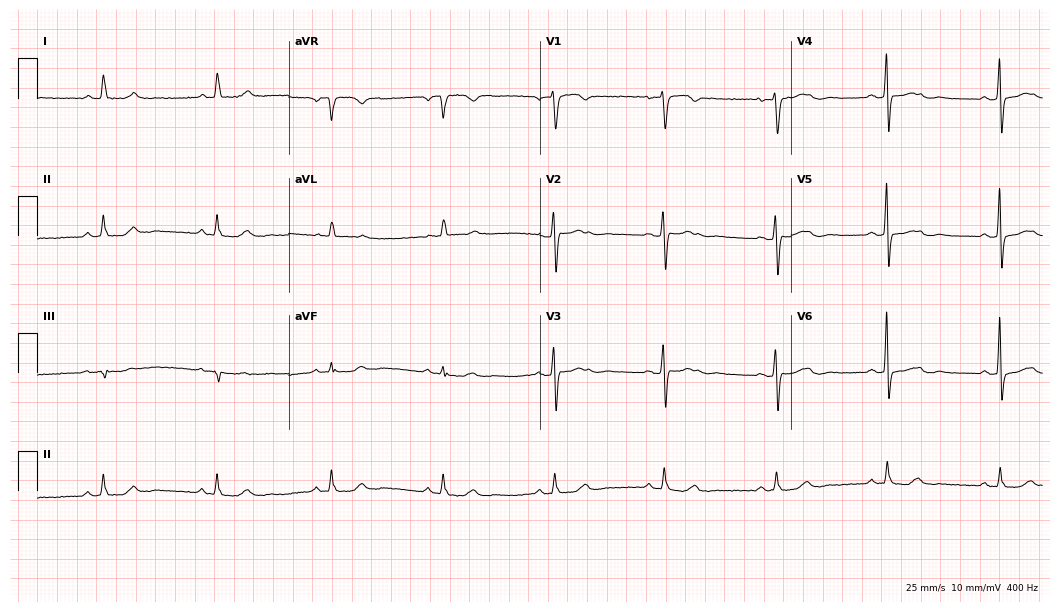
12-lead ECG (10.2-second recording at 400 Hz) from a female patient, 72 years old. Screened for six findings — first-degree AV block, right bundle branch block, left bundle branch block, sinus bradycardia, atrial fibrillation, sinus tachycardia — none is recorded.